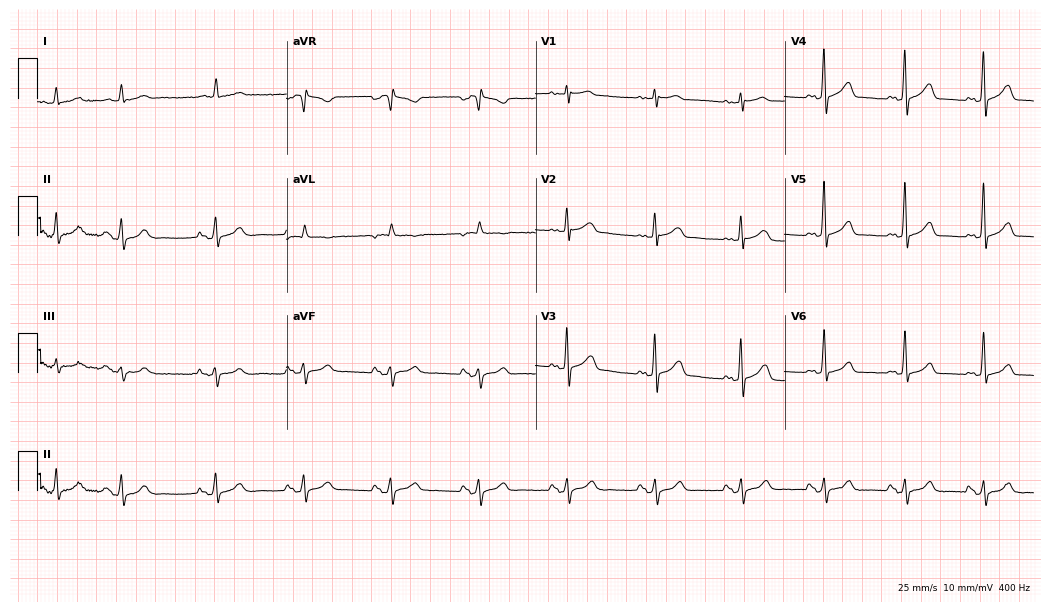
Standard 12-lead ECG recorded from an 83-year-old female patient (10.2-second recording at 400 Hz). Read as a normal ECG.